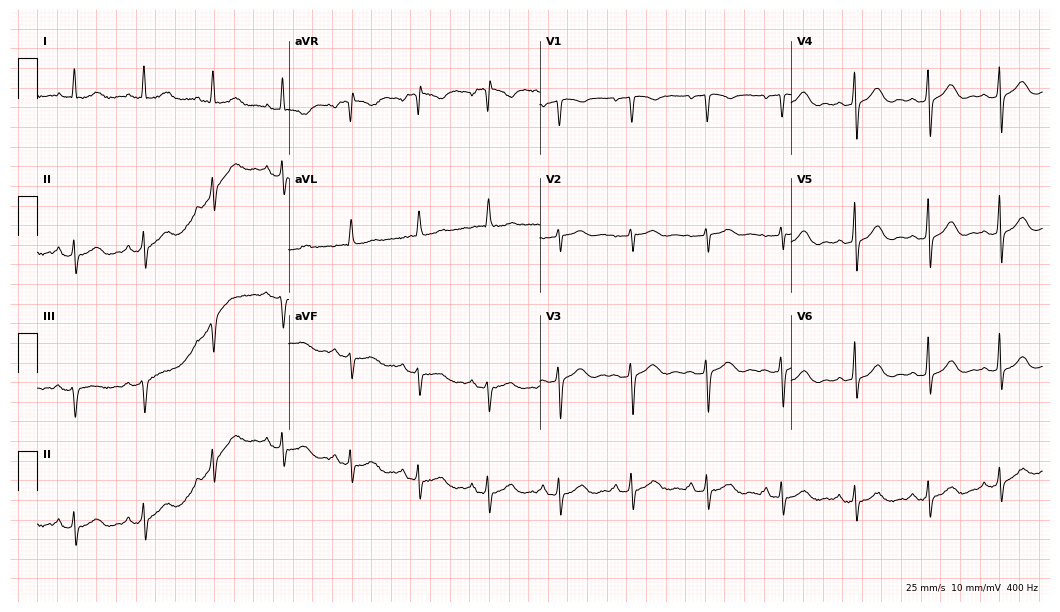
12-lead ECG from a 59-year-old woman. Screened for six findings — first-degree AV block, right bundle branch block, left bundle branch block, sinus bradycardia, atrial fibrillation, sinus tachycardia — none is recorded. Other findings, if any, are not listed.